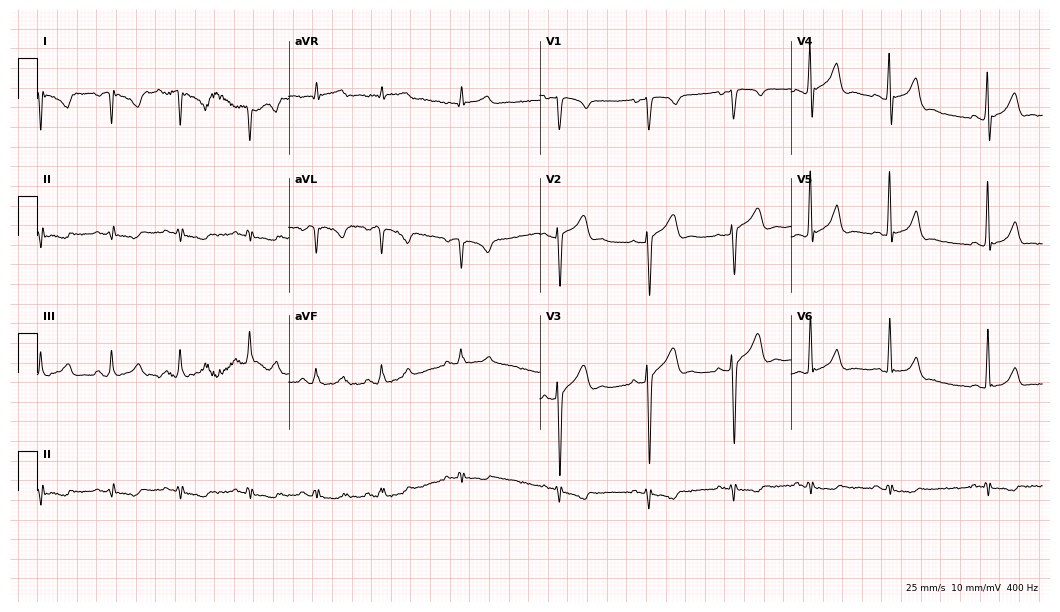
Standard 12-lead ECG recorded from a male patient, 27 years old (10.2-second recording at 400 Hz). None of these six findings is recorded: first-degree AV block, right bundle branch block, left bundle branch block, sinus bradycardia, atrial fibrillation, sinus tachycardia.